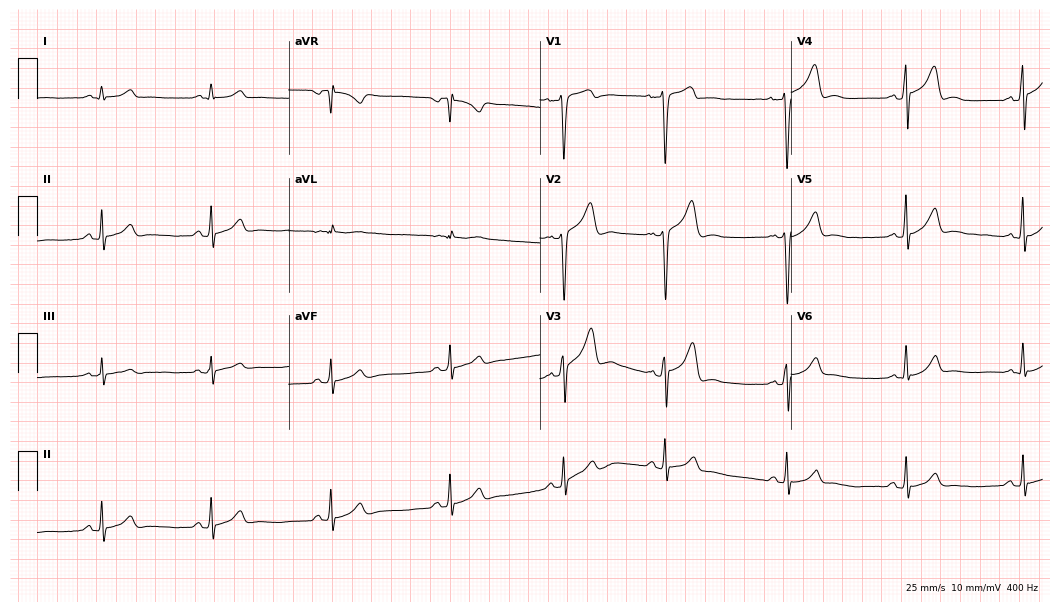
ECG — a 25-year-old male. Labelled as a normal ECG.